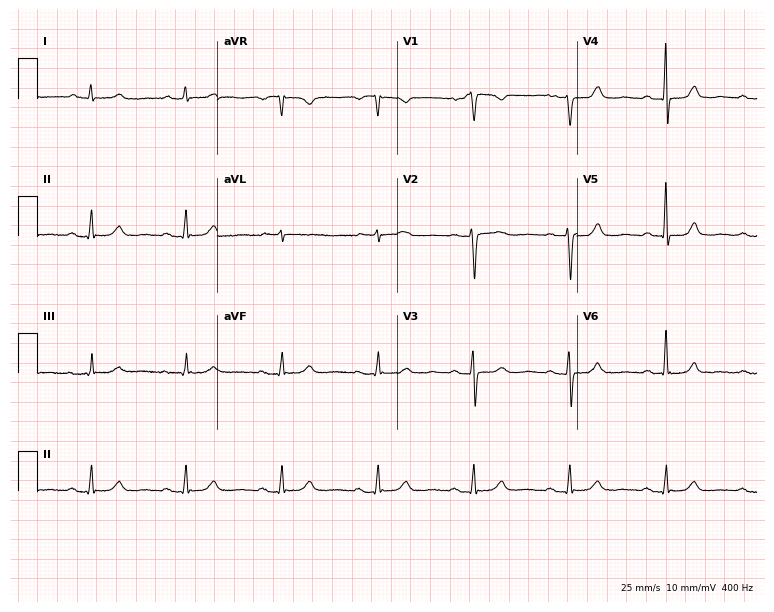
Electrocardiogram (7.3-second recording at 400 Hz), a 77-year-old female. Of the six screened findings (first-degree AV block, right bundle branch block (RBBB), left bundle branch block (LBBB), sinus bradycardia, atrial fibrillation (AF), sinus tachycardia), none is recorded. Other findings, if any, are not listed.